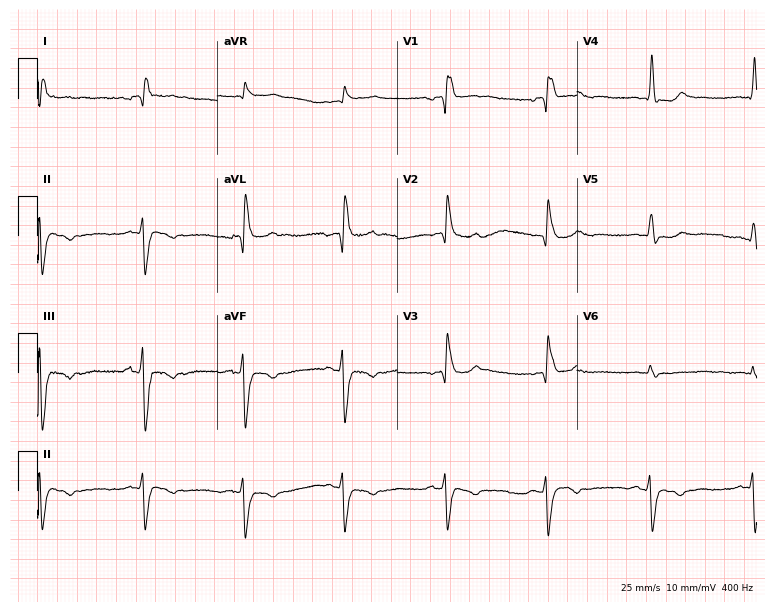
ECG — a man, 79 years old. Findings include right bundle branch block, left bundle branch block.